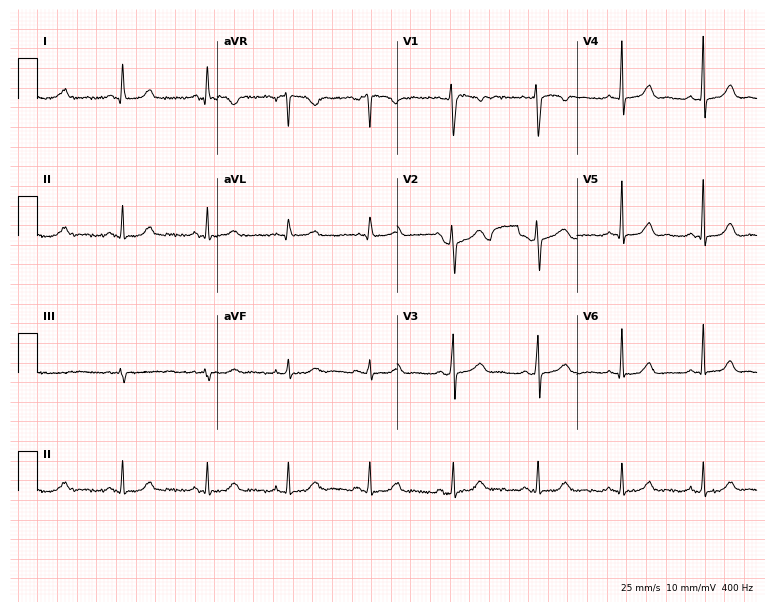
Resting 12-lead electrocardiogram (7.3-second recording at 400 Hz). Patient: a 39-year-old female. None of these six findings is recorded: first-degree AV block, right bundle branch block, left bundle branch block, sinus bradycardia, atrial fibrillation, sinus tachycardia.